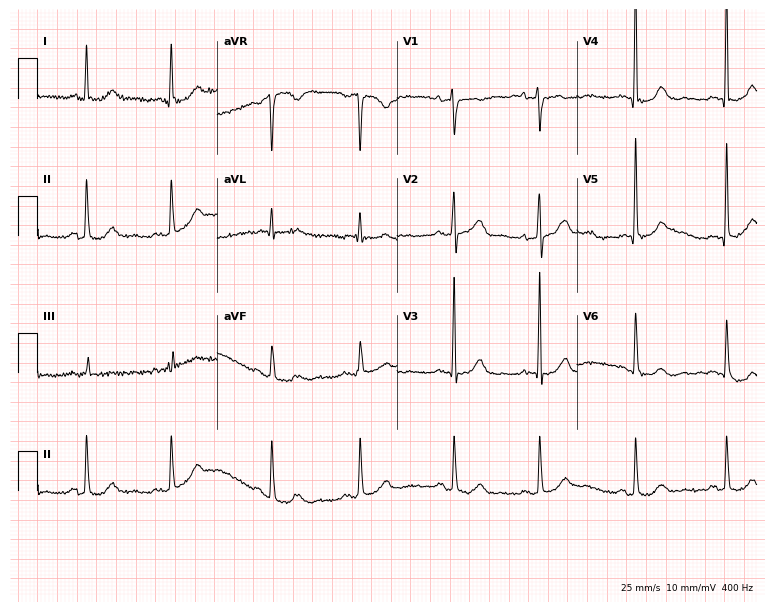
12-lead ECG (7.3-second recording at 400 Hz) from a female patient, 80 years old. Labelled as a normal ECG.